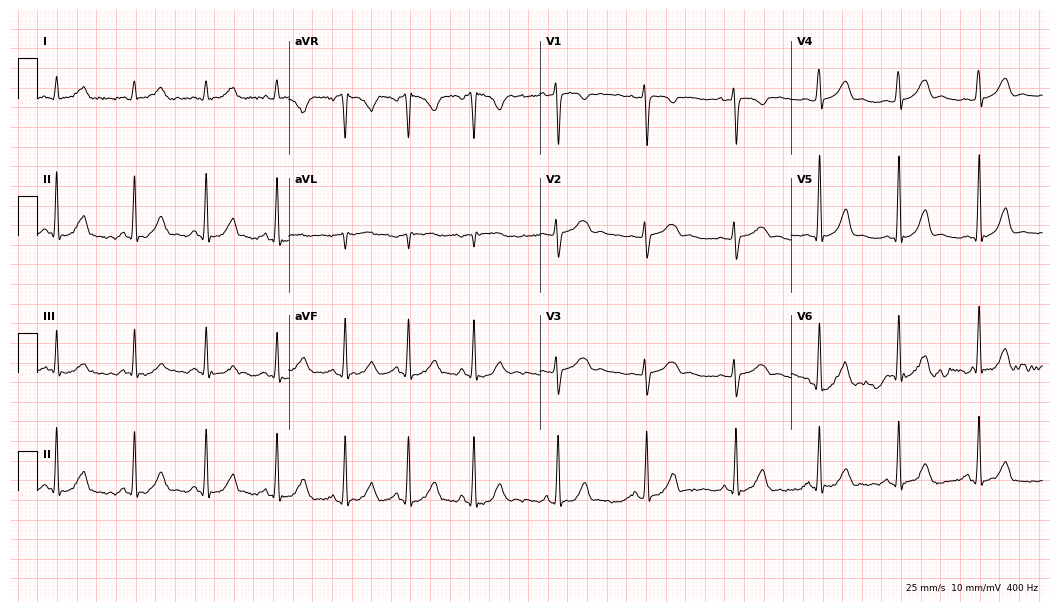
Electrocardiogram (10.2-second recording at 400 Hz), a female patient, 28 years old. Overall reading on record: normal ECG.